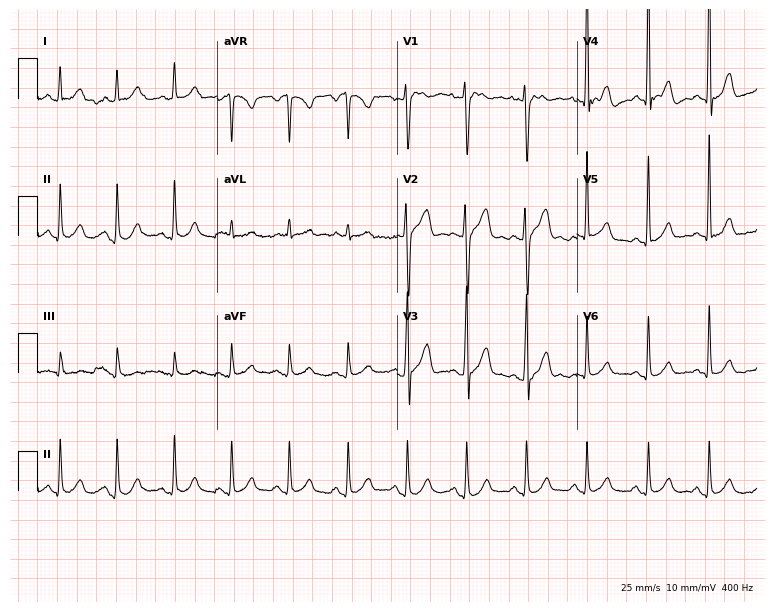
12-lead ECG from a male, 59 years old. No first-degree AV block, right bundle branch block, left bundle branch block, sinus bradycardia, atrial fibrillation or sinus tachycardia recorded for this tracing. Only these six findings were labelled.